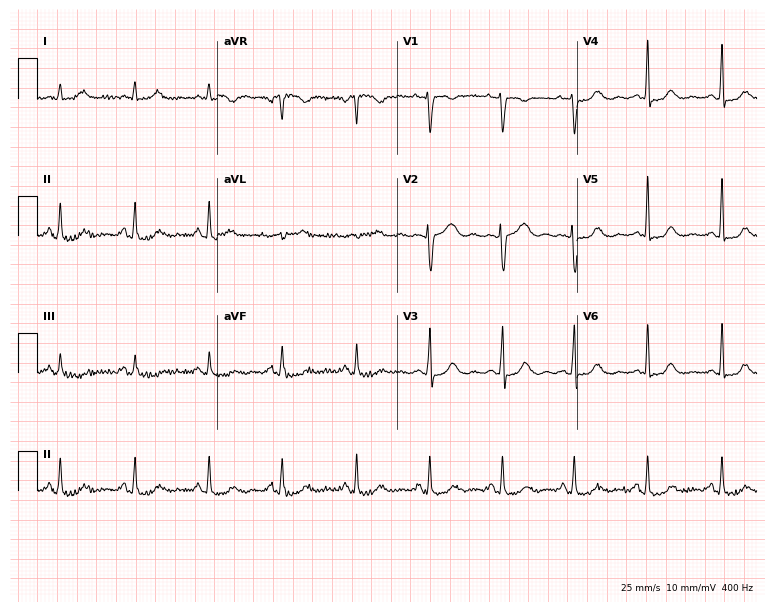
Electrocardiogram, a 45-year-old female. Of the six screened findings (first-degree AV block, right bundle branch block (RBBB), left bundle branch block (LBBB), sinus bradycardia, atrial fibrillation (AF), sinus tachycardia), none is recorded.